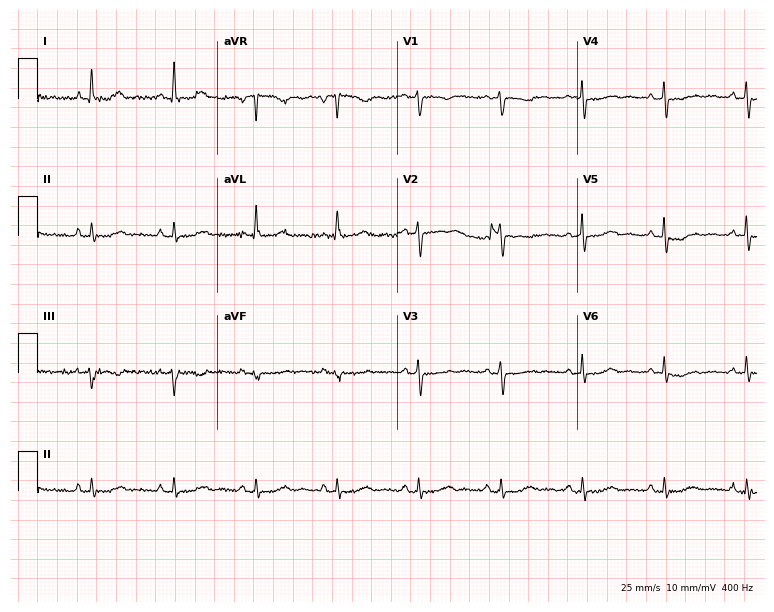
12-lead ECG from a 61-year-old woman (7.3-second recording at 400 Hz). No first-degree AV block, right bundle branch block, left bundle branch block, sinus bradycardia, atrial fibrillation or sinus tachycardia recorded for this tracing.